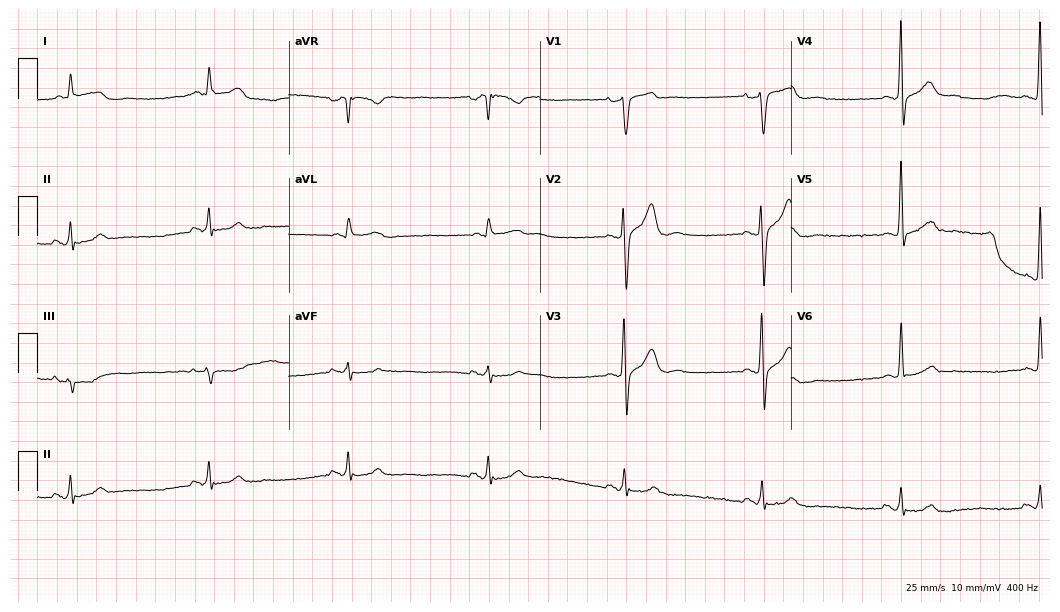
ECG — a 49-year-old male. Screened for six findings — first-degree AV block, right bundle branch block (RBBB), left bundle branch block (LBBB), sinus bradycardia, atrial fibrillation (AF), sinus tachycardia — none is recorded.